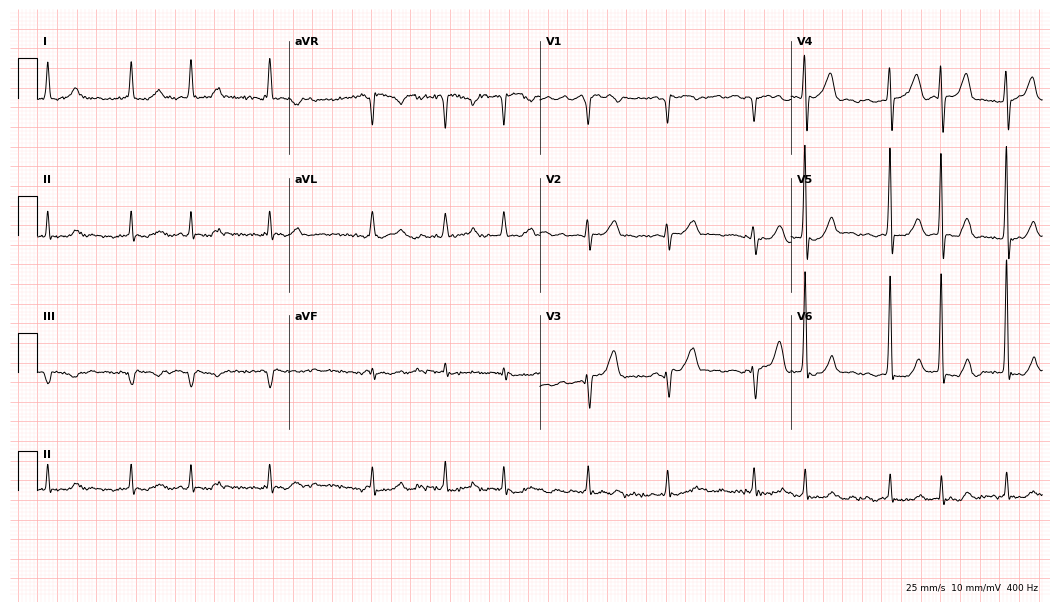
Electrocardiogram (10.2-second recording at 400 Hz), an 81-year-old male patient. Interpretation includes atrial fibrillation (AF).